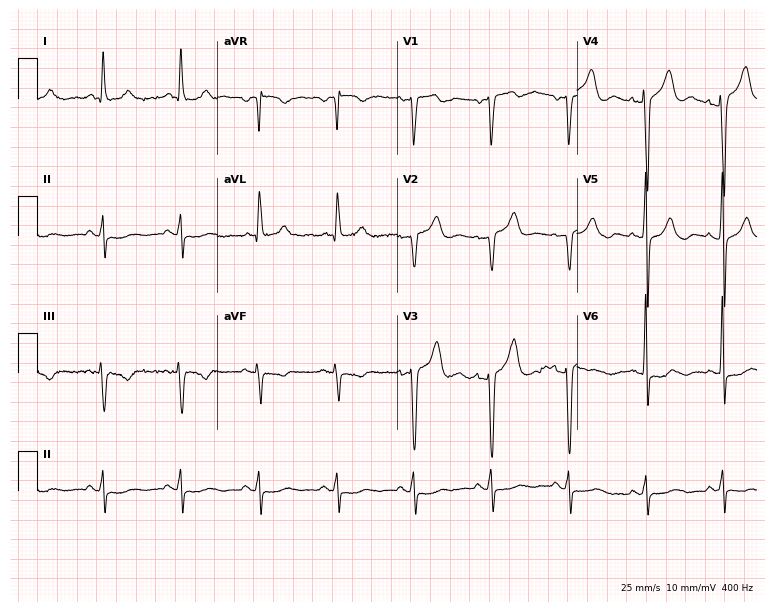
Electrocardiogram, a 59-year-old man. Of the six screened findings (first-degree AV block, right bundle branch block, left bundle branch block, sinus bradycardia, atrial fibrillation, sinus tachycardia), none is recorded. Only these six findings were labelled.